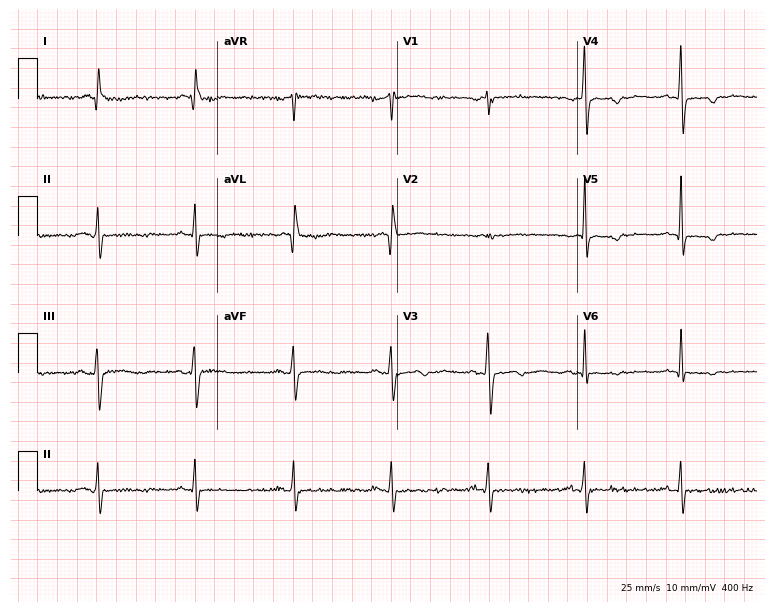
ECG (7.3-second recording at 400 Hz) — a 38-year-old woman. Screened for six findings — first-degree AV block, right bundle branch block, left bundle branch block, sinus bradycardia, atrial fibrillation, sinus tachycardia — none is recorded.